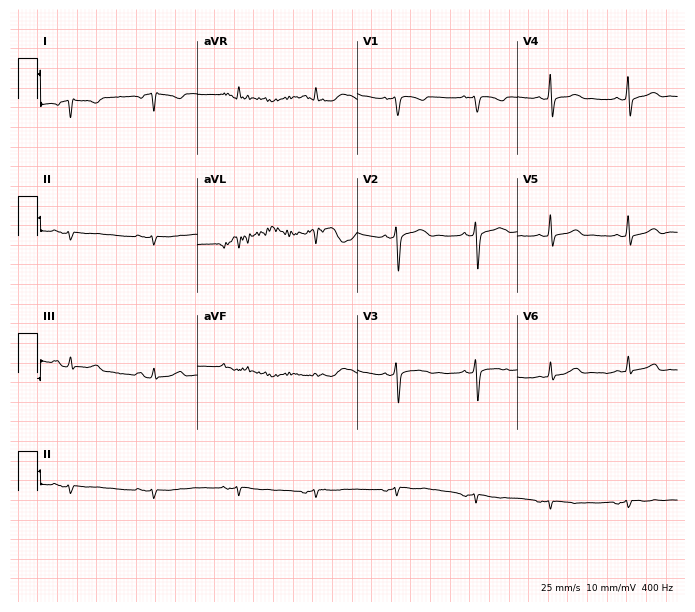
Resting 12-lead electrocardiogram. Patient: a female, 27 years old. None of these six findings is recorded: first-degree AV block, right bundle branch block, left bundle branch block, sinus bradycardia, atrial fibrillation, sinus tachycardia.